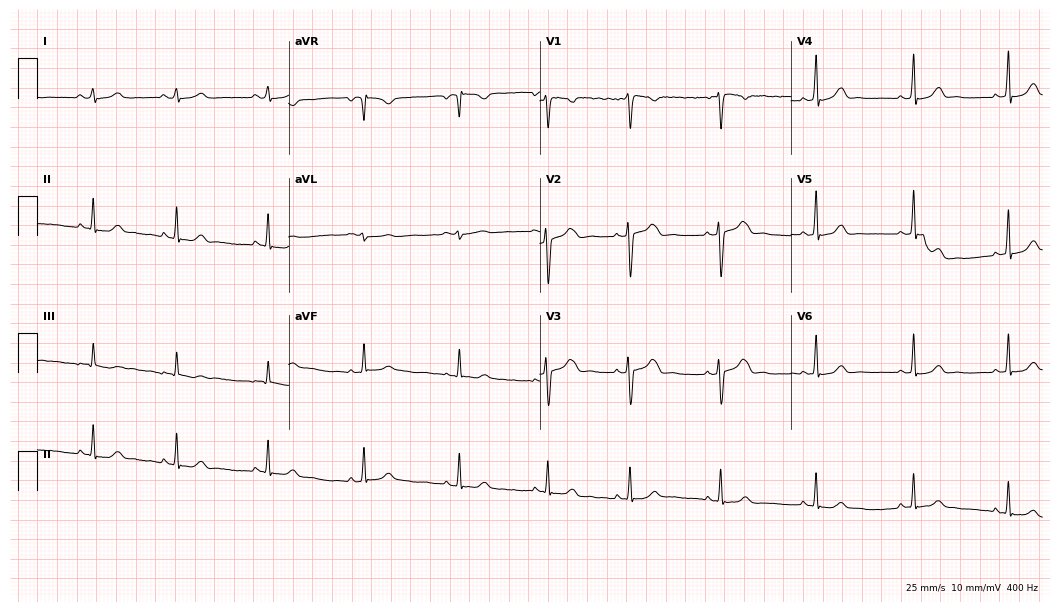
Resting 12-lead electrocardiogram. Patient: a 28-year-old woman. None of these six findings is recorded: first-degree AV block, right bundle branch block, left bundle branch block, sinus bradycardia, atrial fibrillation, sinus tachycardia. Other findings, if any, are not listed.